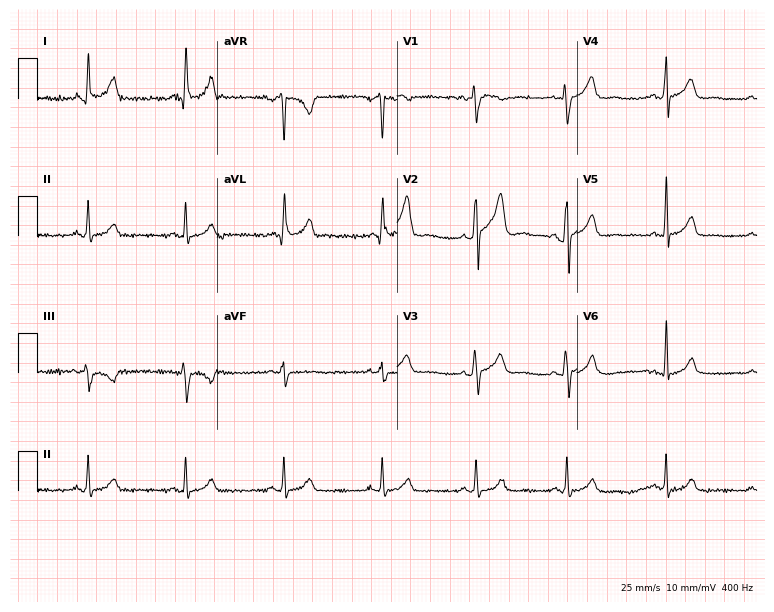
12-lead ECG from a male, 35 years old. Recorded interpretation: within normal limits.